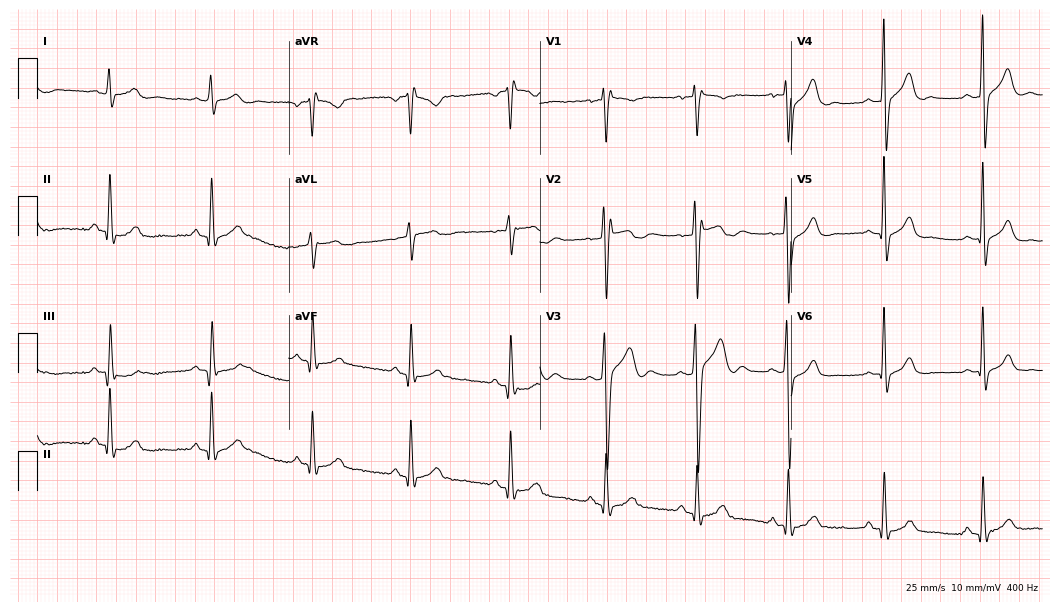
Electrocardiogram, a man, 20 years old. Of the six screened findings (first-degree AV block, right bundle branch block, left bundle branch block, sinus bradycardia, atrial fibrillation, sinus tachycardia), none is recorded. Other findings, if any, are not listed.